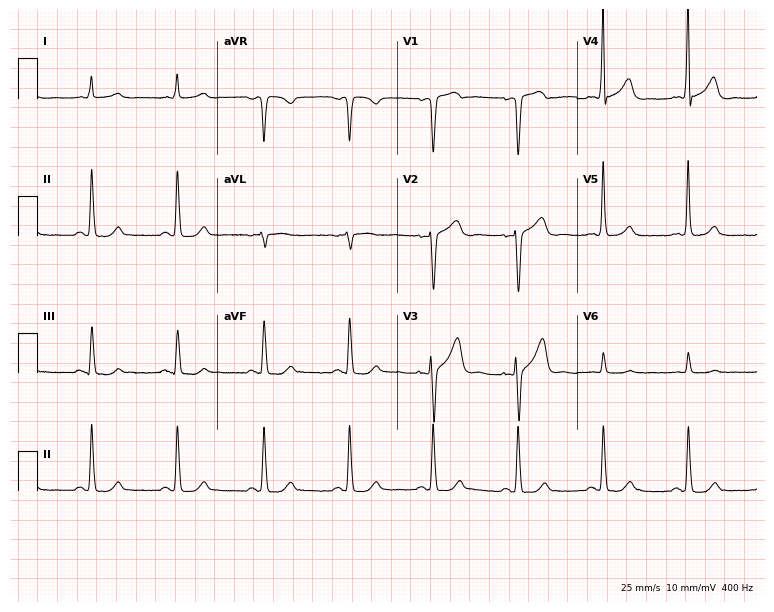
Resting 12-lead electrocardiogram. Patient: a 79-year-old male. Read as a normal ECG.